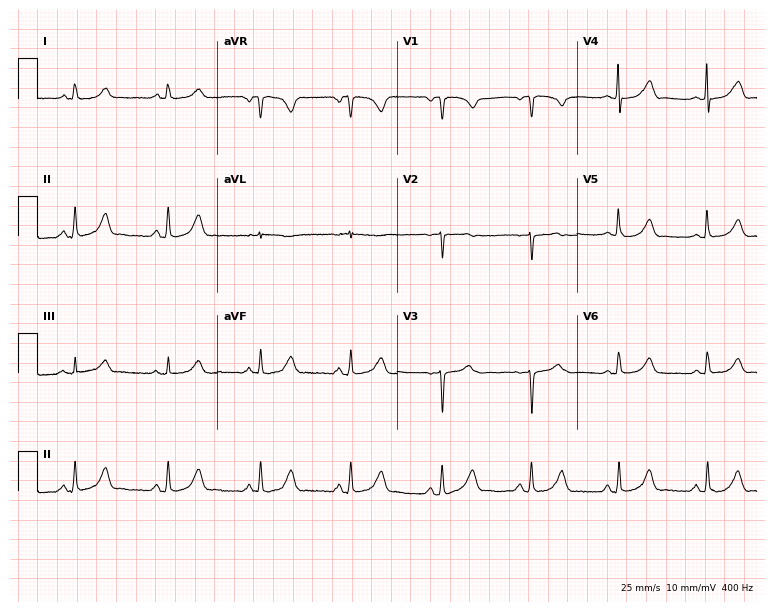
12-lead ECG from a female, 63 years old. Labelled as a normal ECG.